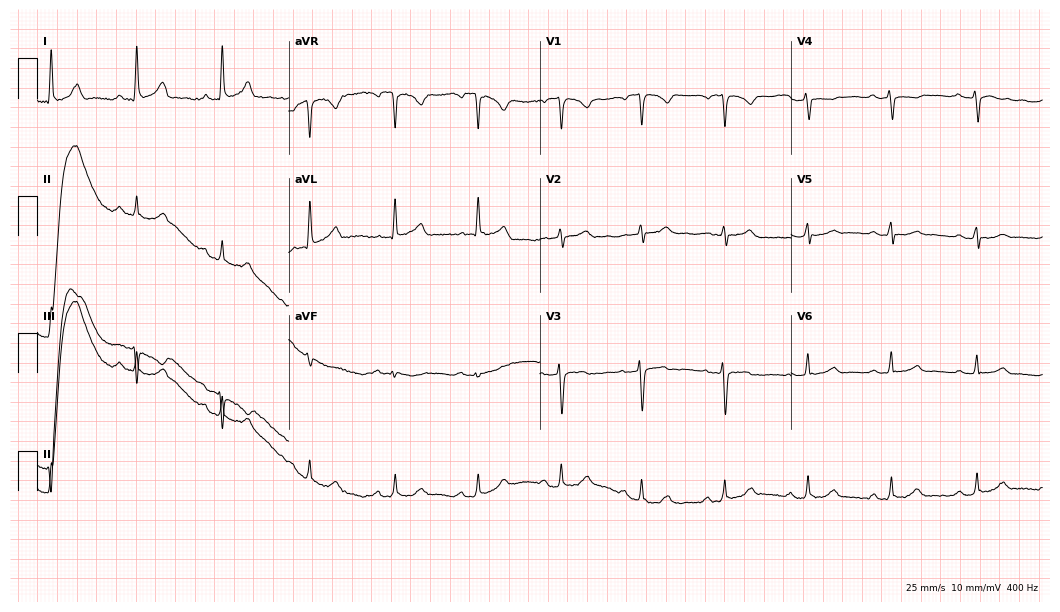
12-lead ECG from a 65-year-old woman. Labelled as a normal ECG.